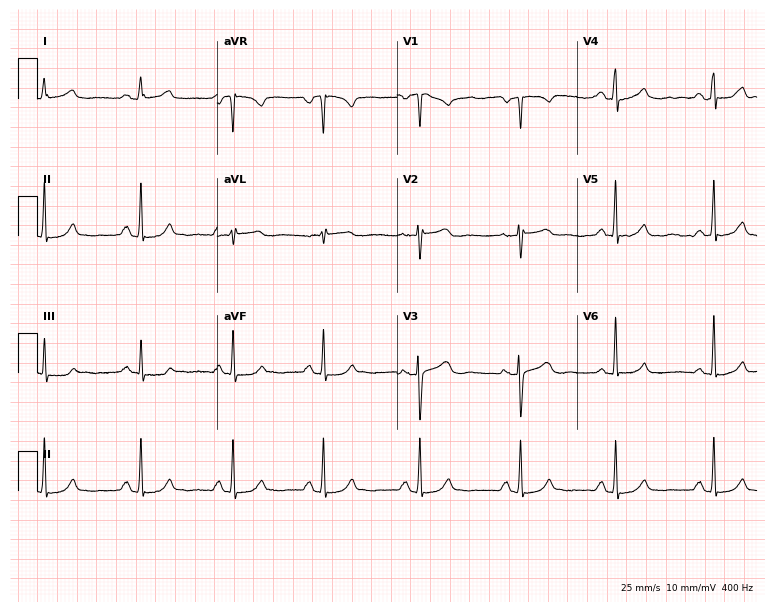
Standard 12-lead ECG recorded from a 51-year-old female (7.3-second recording at 400 Hz). Read as a normal ECG.